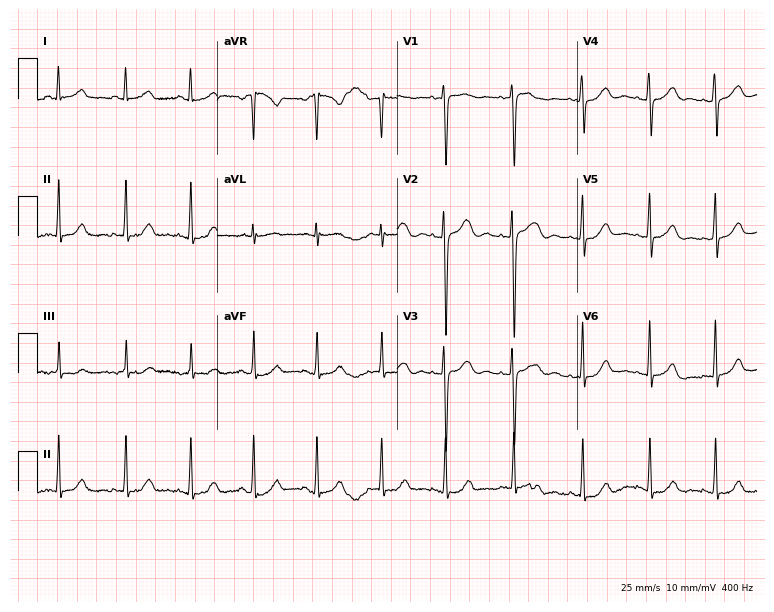
Electrocardiogram (7.3-second recording at 400 Hz), a 20-year-old woman. Overall reading on record: normal ECG.